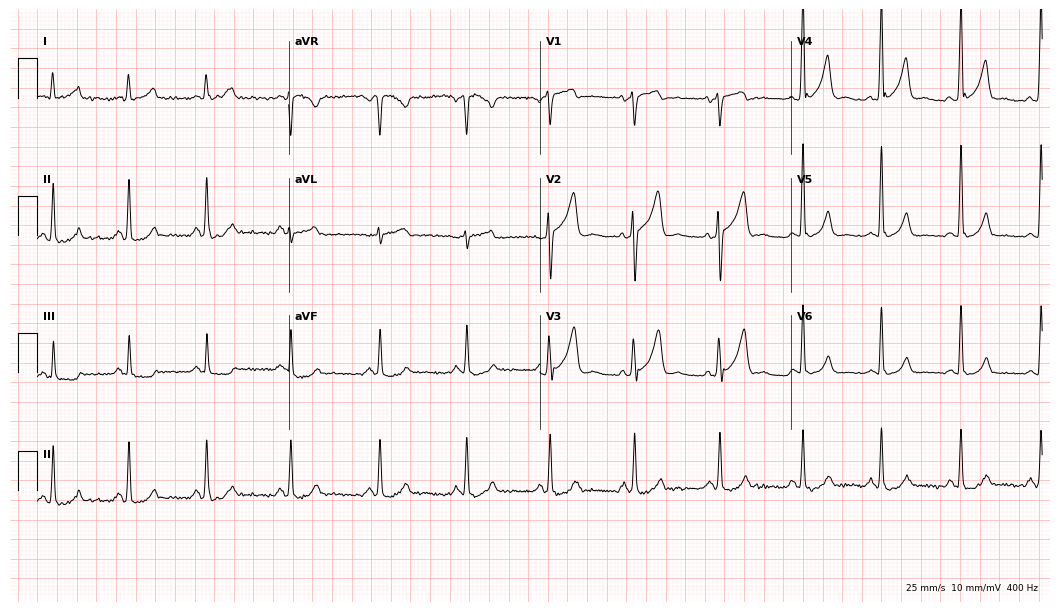
12-lead ECG from a man, 37 years old. Screened for six findings — first-degree AV block, right bundle branch block (RBBB), left bundle branch block (LBBB), sinus bradycardia, atrial fibrillation (AF), sinus tachycardia — none is recorded. Other findings, if any, are not listed.